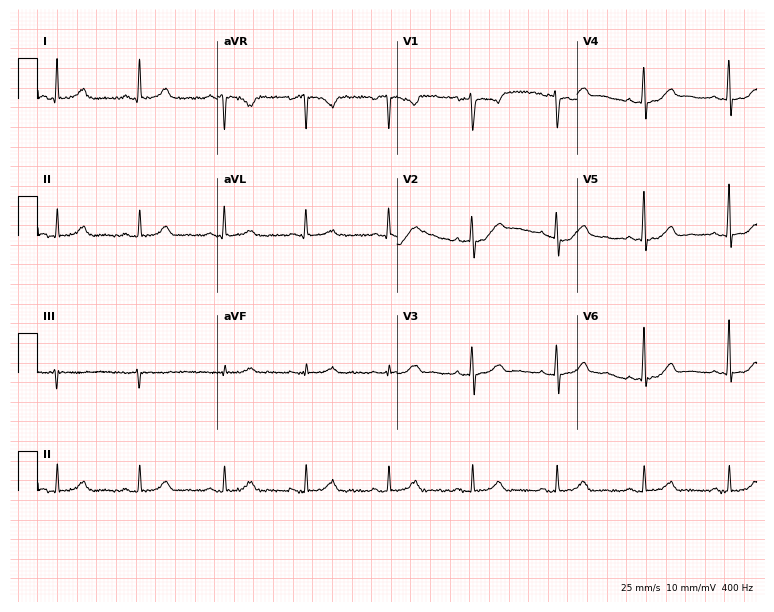
Electrocardiogram, a 42-year-old woman. Overall reading on record: normal ECG.